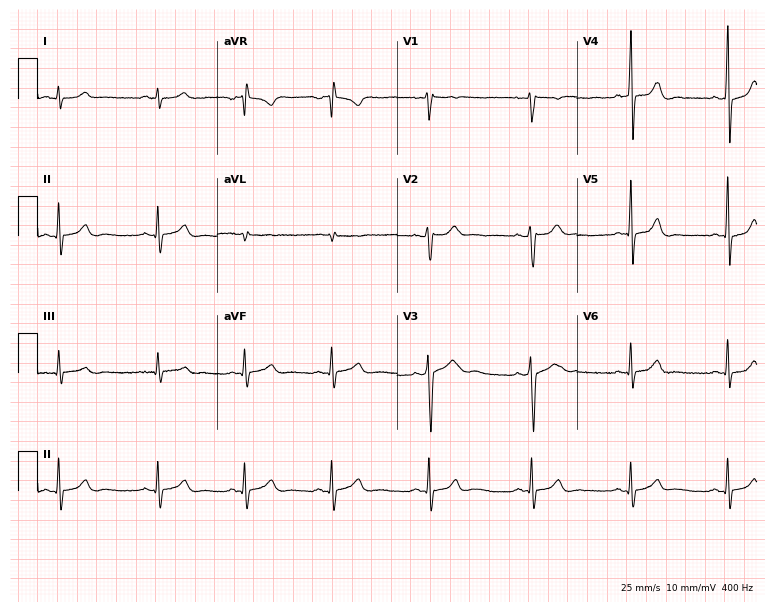
12-lead ECG from a 20-year-old male patient. Recorded interpretation: within normal limits.